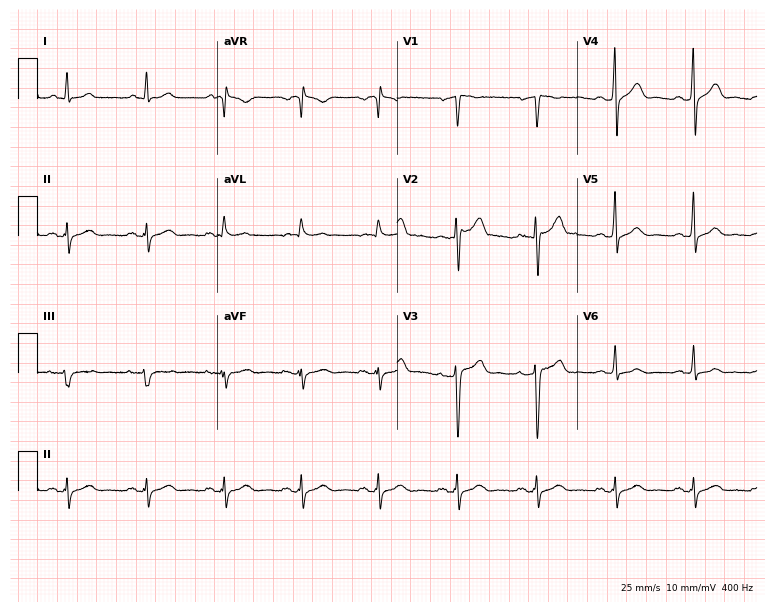
12-lead ECG from a man, 58 years old. No first-degree AV block, right bundle branch block (RBBB), left bundle branch block (LBBB), sinus bradycardia, atrial fibrillation (AF) or sinus tachycardia recorded for this tracing. Only these six findings were labelled.